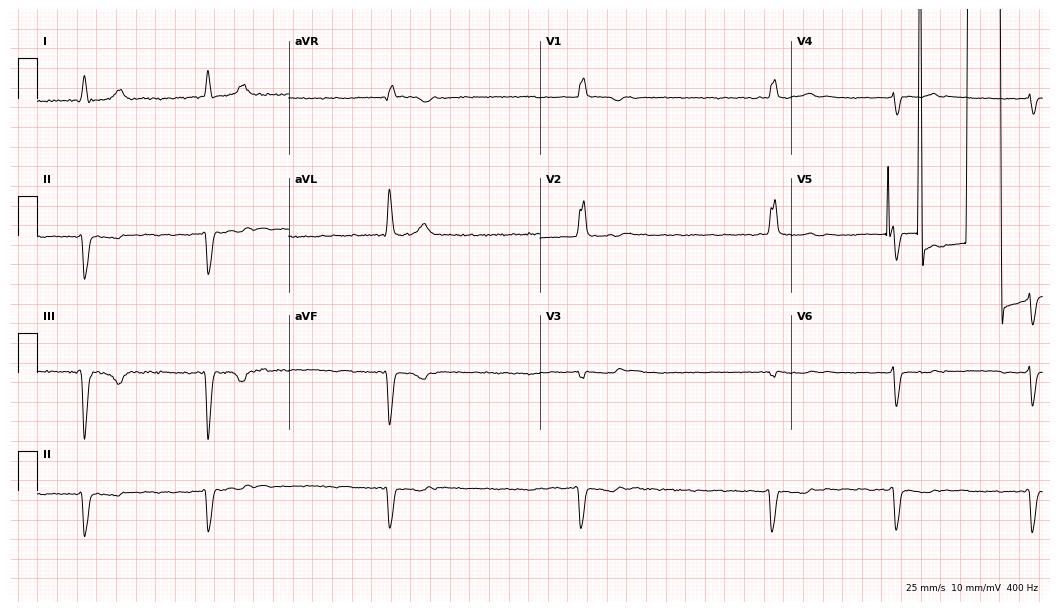
ECG (10.2-second recording at 400 Hz) — a female patient, 52 years old. Findings include right bundle branch block (RBBB), atrial fibrillation (AF).